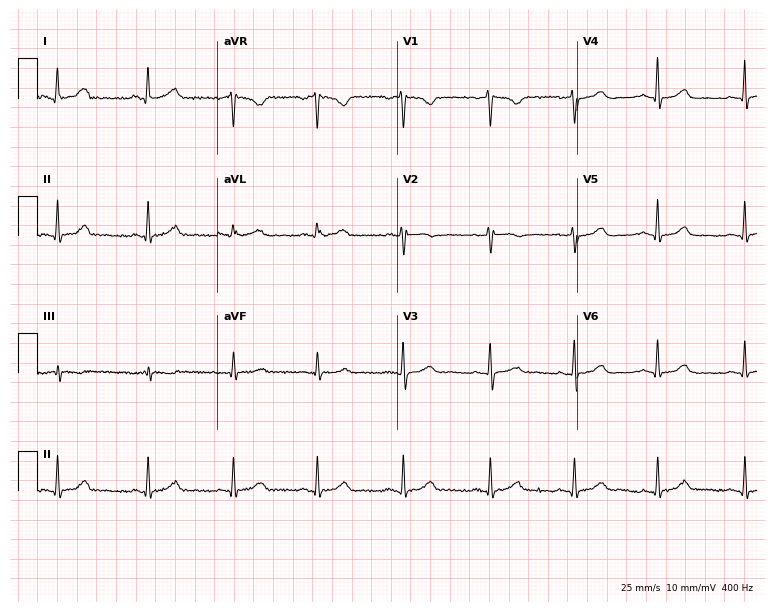
Standard 12-lead ECG recorded from a 38-year-old female patient (7.3-second recording at 400 Hz). None of these six findings is recorded: first-degree AV block, right bundle branch block, left bundle branch block, sinus bradycardia, atrial fibrillation, sinus tachycardia. Only these six findings were labelled.